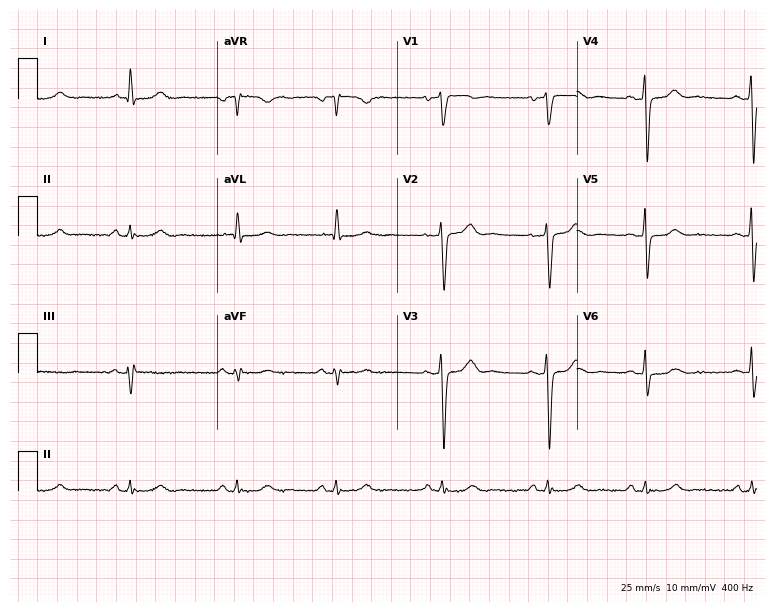
Electrocardiogram (7.3-second recording at 400 Hz), a 75-year-old male. Overall reading on record: normal ECG.